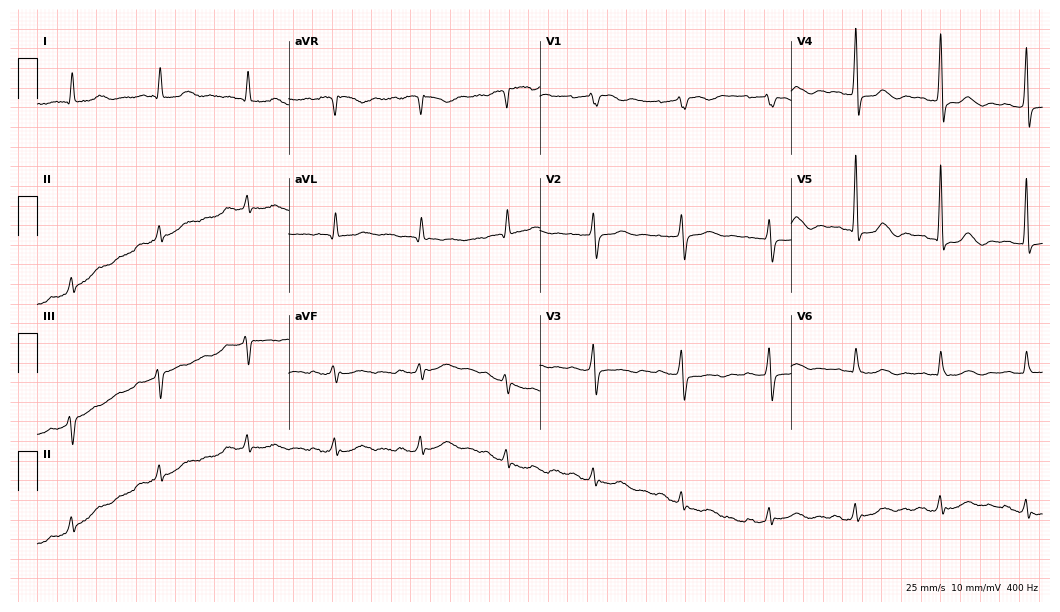
12-lead ECG from a male, 79 years old (10.2-second recording at 400 Hz). No first-degree AV block, right bundle branch block (RBBB), left bundle branch block (LBBB), sinus bradycardia, atrial fibrillation (AF) or sinus tachycardia recorded for this tracing. Only these six findings were labelled.